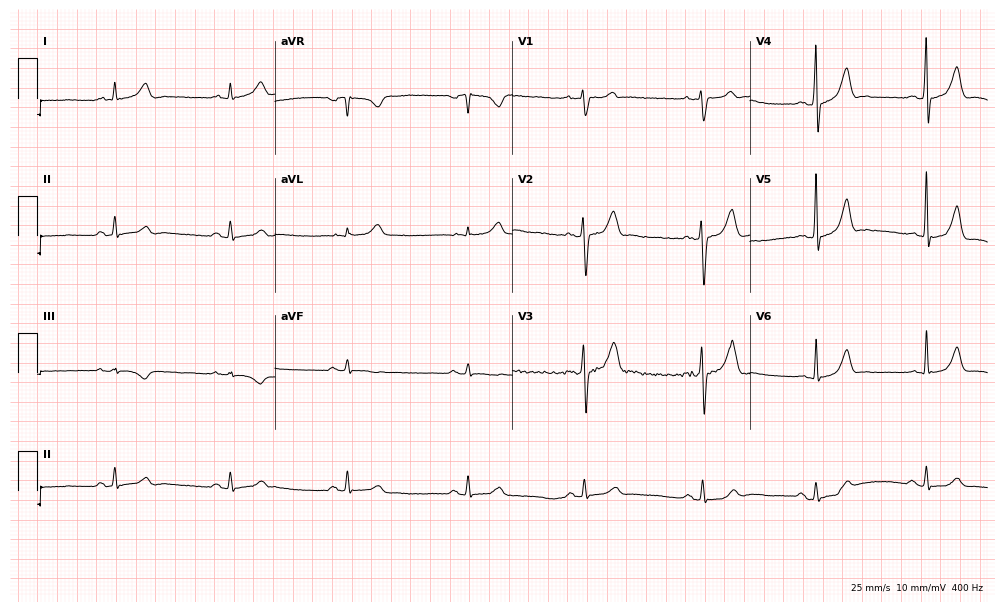
Resting 12-lead electrocardiogram. Patient: a male, 41 years old. Read as a normal ECG.